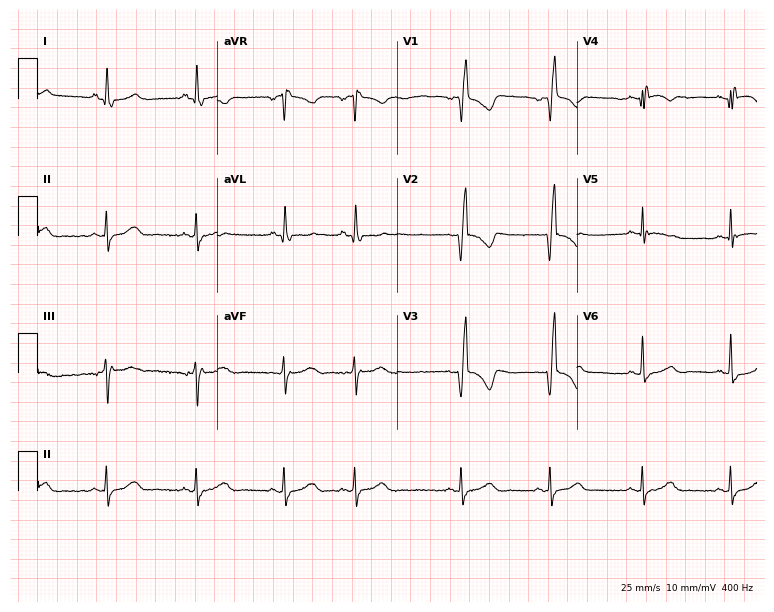
Electrocardiogram (7.3-second recording at 400 Hz), a 76-year-old female. Of the six screened findings (first-degree AV block, right bundle branch block, left bundle branch block, sinus bradycardia, atrial fibrillation, sinus tachycardia), none is recorded.